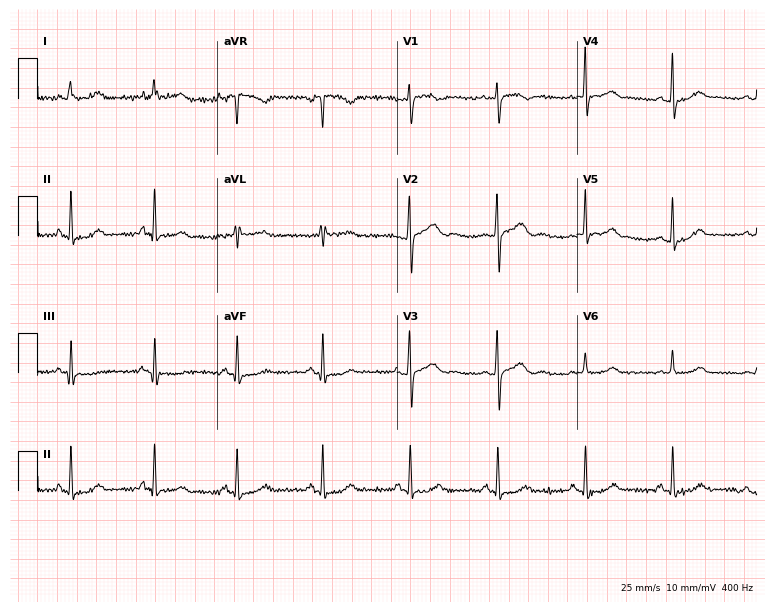
Resting 12-lead electrocardiogram. Patient: a 42-year-old female. Read as a normal ECG.